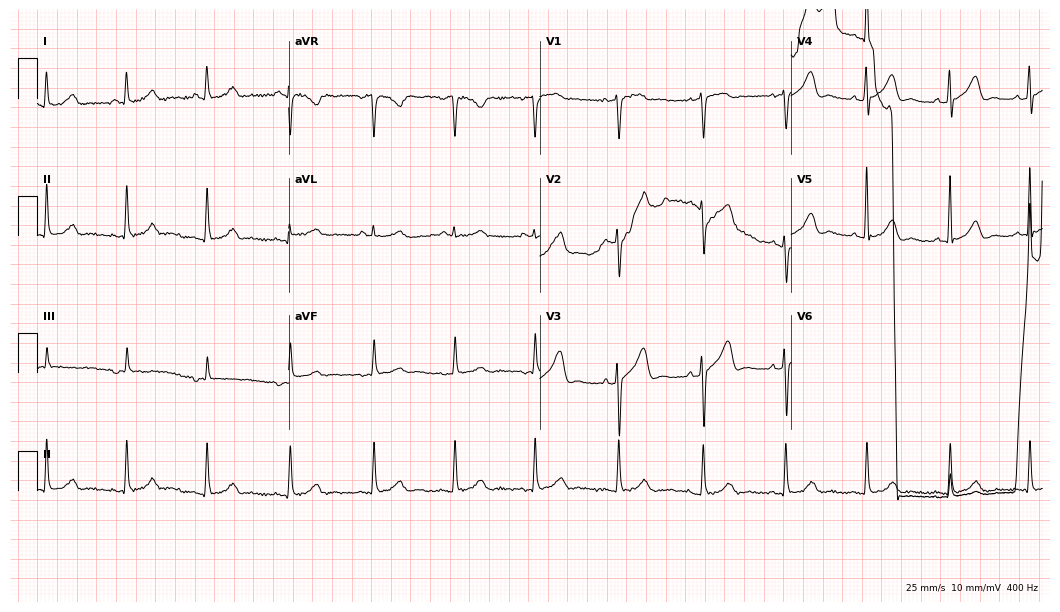
ECG (10.2-second recording at 400 Hz) — a female patient, 65 years old. Labelled as a normal ECG.